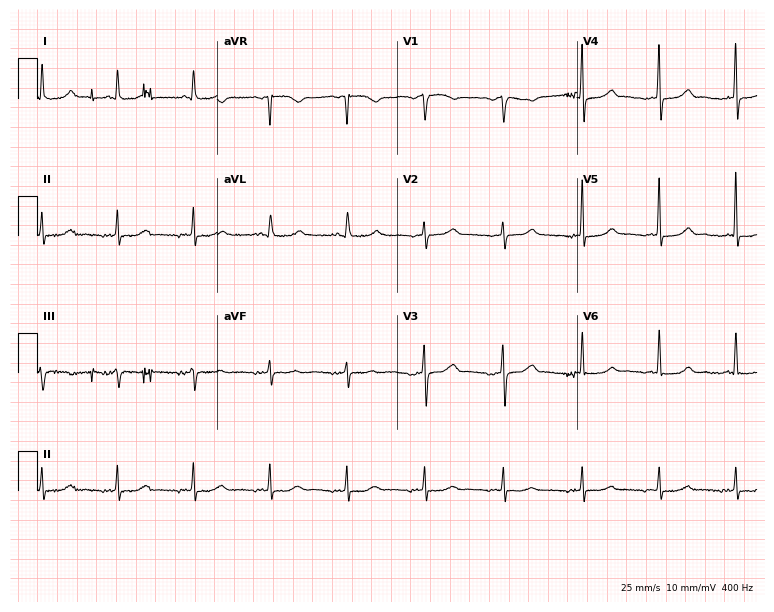
Electrocardiogram, a woman, 67 years old. Of the six screened findings (first-degree AV block, right bundle branch block, left bundle branch block, sinus bradycardia, atrial fibrillation, sinus tachycardia), none is recorded. Findings outside these six are not listed.